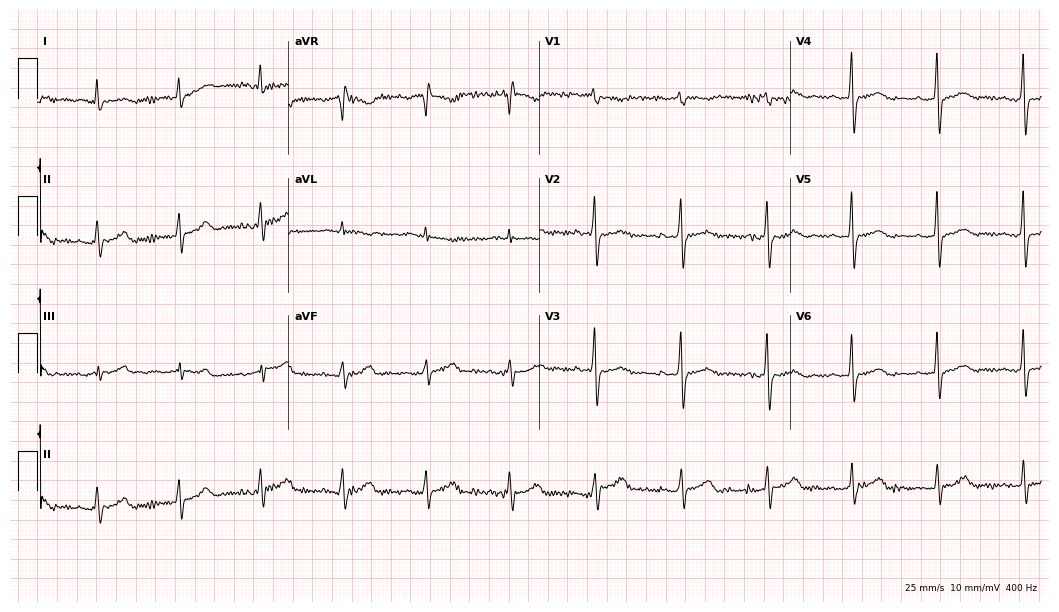
12-lead ECG from a woman, 59 years old (10.2-second recording at 400 Hz). No first-degree AV block, right bundle branch block, left bundle branch block, sinus bradycardia, atrial fibrillation or sinus tachycardia recorded for this tracing.